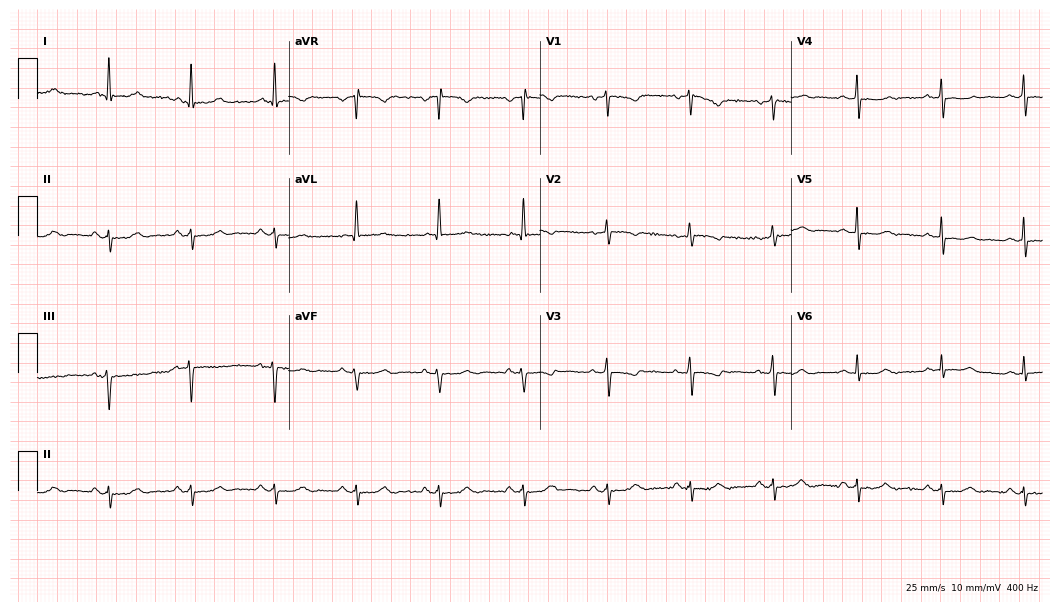
ECG — a 65-year-old woman. Screened for six findings — first-degree AV block, right bundle branch block (RBBB), left bundle branch block (LBBB), sinus bradycardia, atrial fibrillation (AF), sinus tachycardia — none is recorded. Only these six findings were labelled.